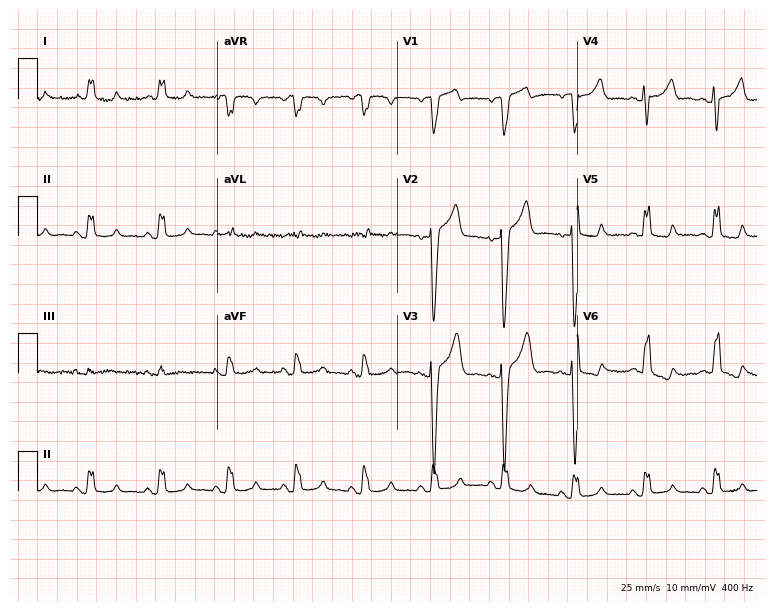
Electrocardiogram, a female, 59 years old. Interpretation includes left bundle branch block.